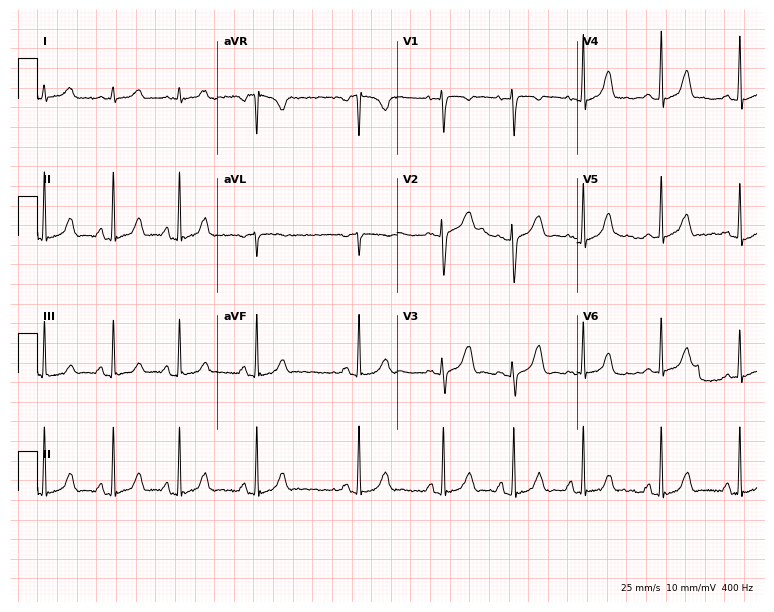
12-lead ECG from a 25-year-old woman. Labelled as a normal ECG.